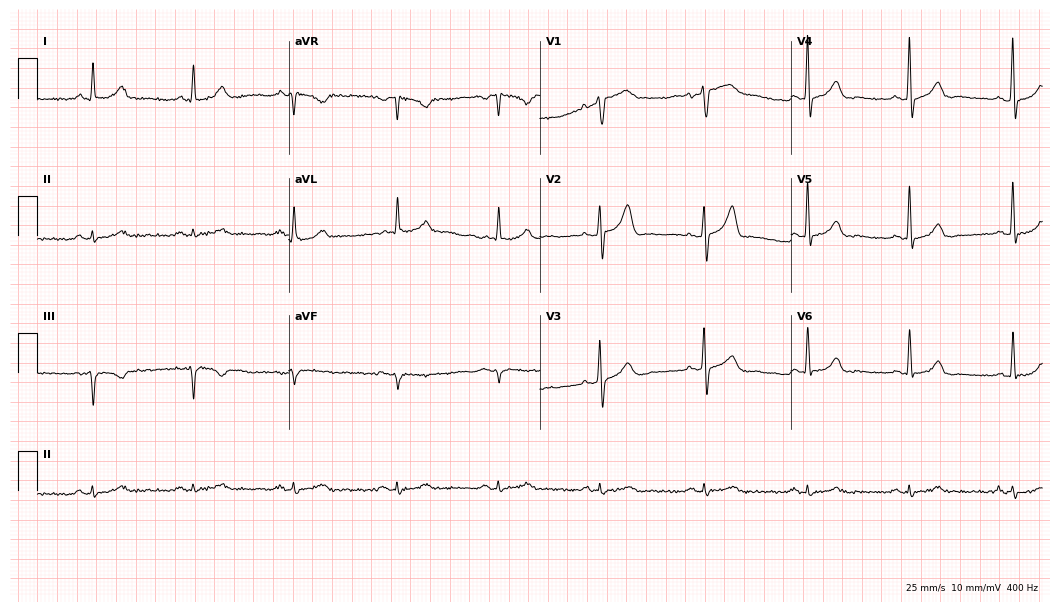
Standard 12-lead ECG recorded from a 71-year-old male. Read as a normal ECG.